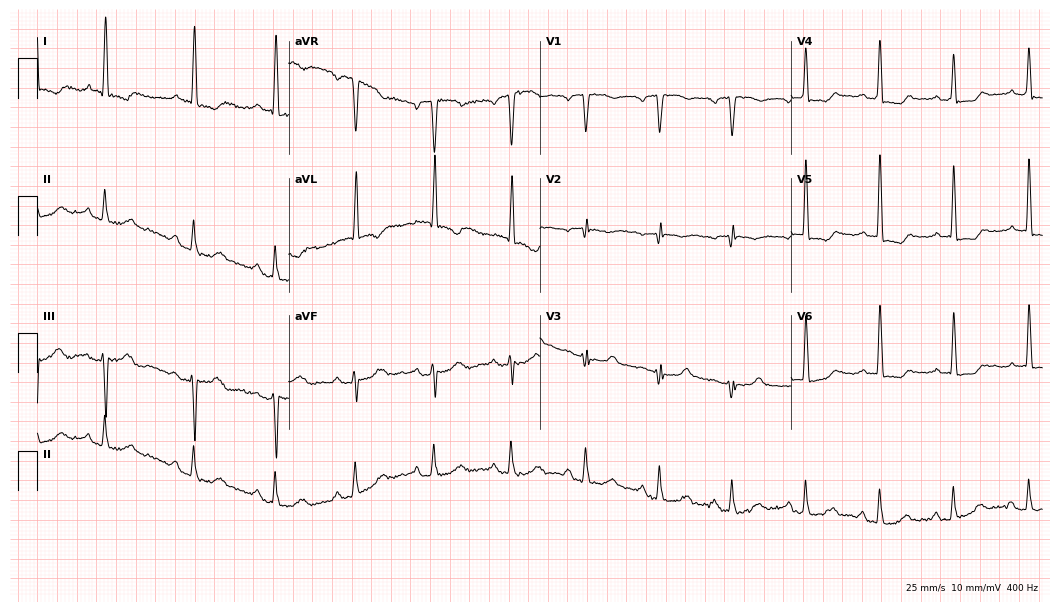
Electrocardiogram (10.2-second recording at 400 Hz), a 66-year-old female patient. Of the six screened findings (first-degree AV block, right bundle branch block, left bundle branch block, sinus bradycardia, atrial fibrillation, sinus tachycardia), none is recorded. Other findings, if any, are not listed.